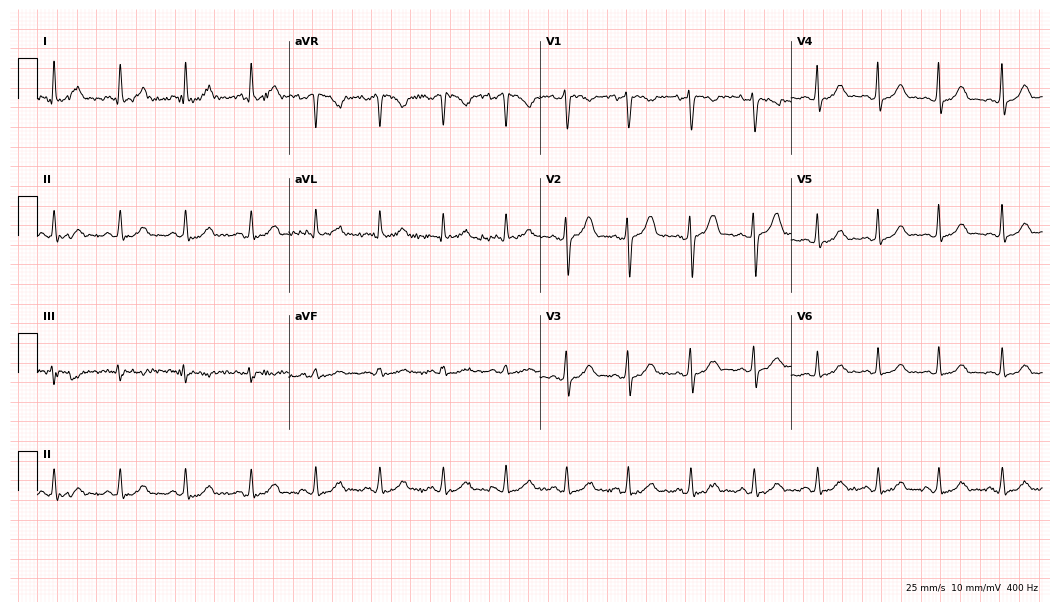
12-lead ECG from a female, 29 years old. Labelled as a normal ECG.